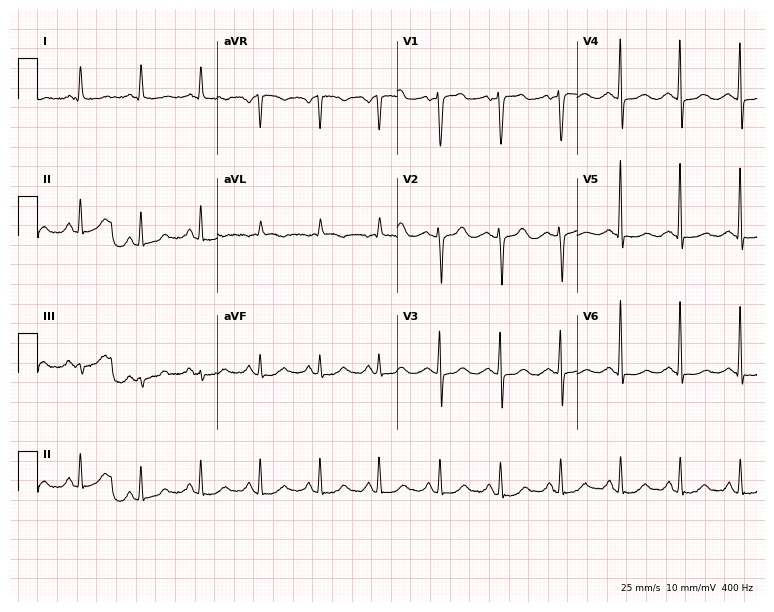
12-lead ECG from a 66-year-old female. Screened for six findings — first-degree AV block, right bundle branch block (RBBB), left bundle branch block (LBBB), sinus bradycardia, atrial fibrillation (AF), sinus tachycardia — none is recorded. Findings outside these six are not listed.